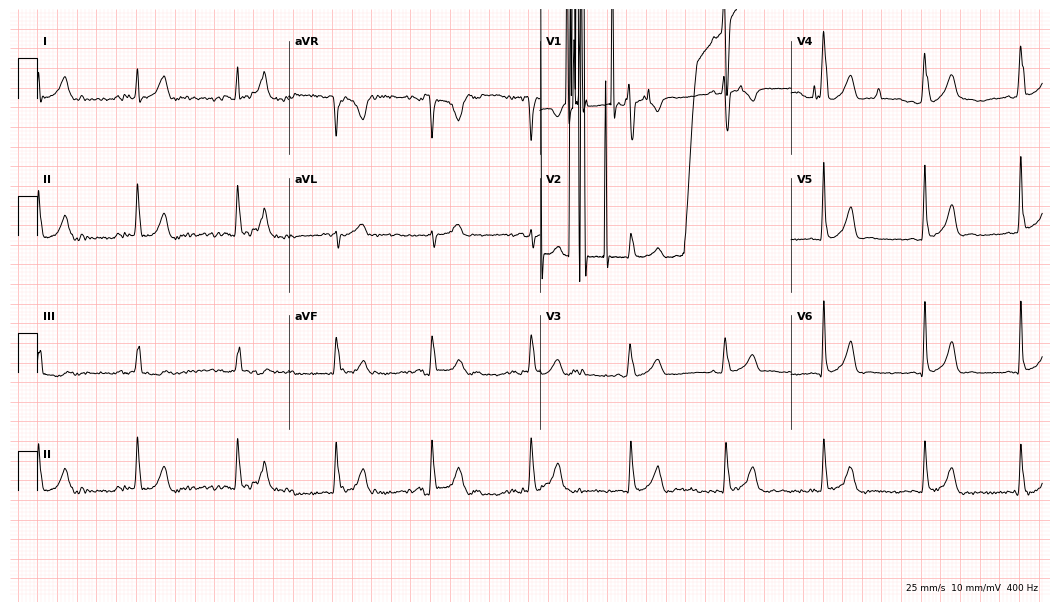
12-lead ECG from a 25-year-old man. No first-degree AV block, right bundle branch block (RBBB), left bundle branch block (LBBB), sinus bradycardia, atrial fibrillation (AF) or sinus tachycardia recorded for this tracing.